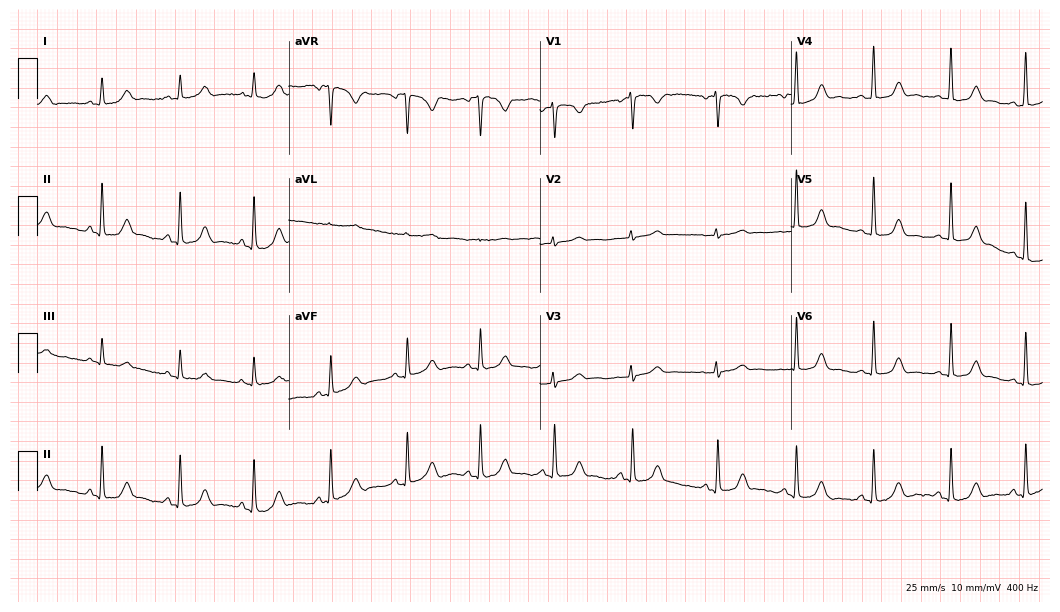
Resting 12-lead electrocardiogram (10.2-second recording at 400 Hz). Patient: a female, 32 years old. Read as a normal ECG.